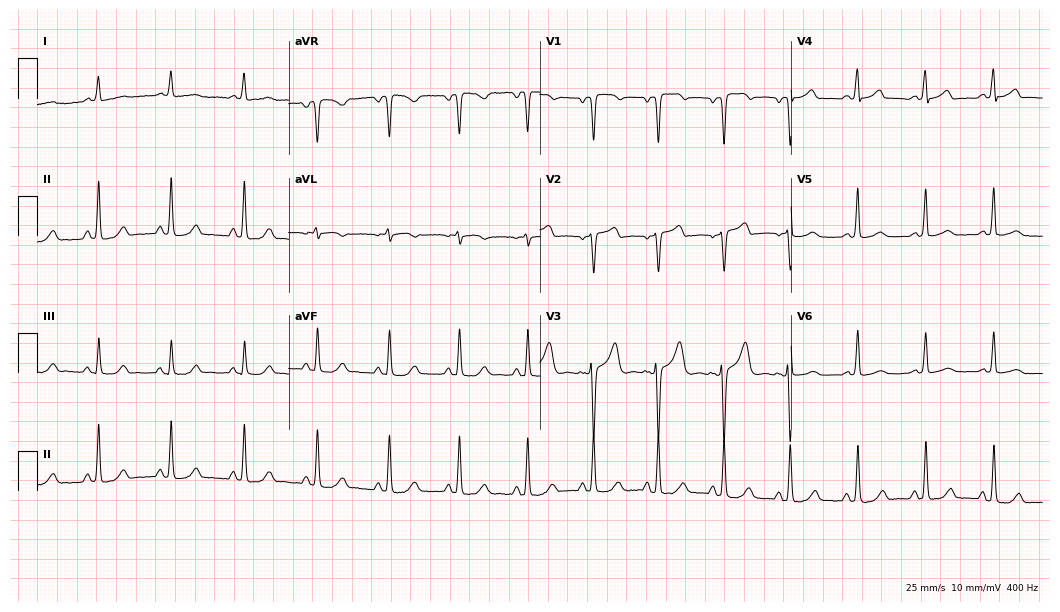
Standard 12-lead ECG recorded from a 52-year-old female patient (10.2-second recording at 400 Hz). Read as a normal ECG.